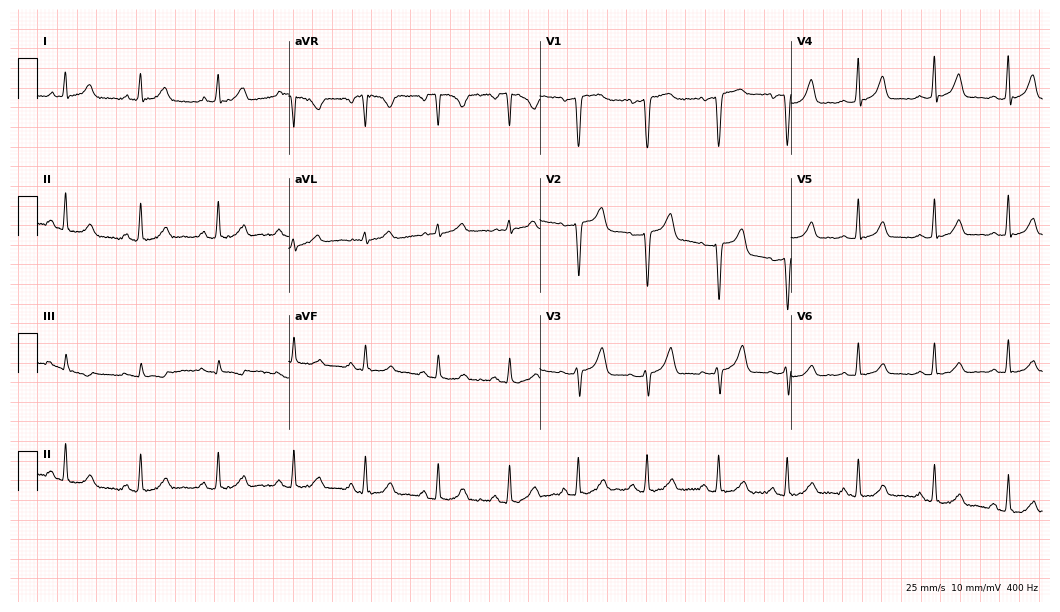
12-lead ECG from a 49-year-old female patient (10.2-second recording at 400 Hz). Recorded interpretation: within normal limits.